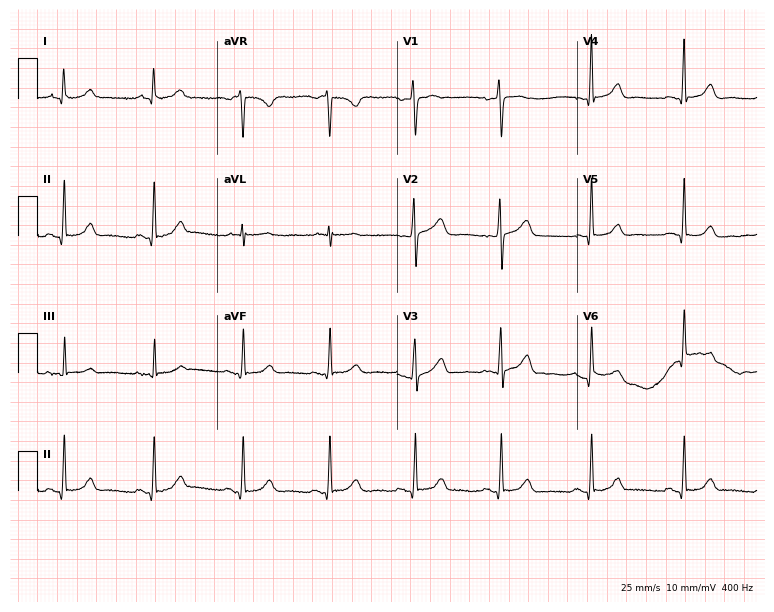
Standard 12-lead ECG recorded from a female, 59 years old. Read as a normal ECG.